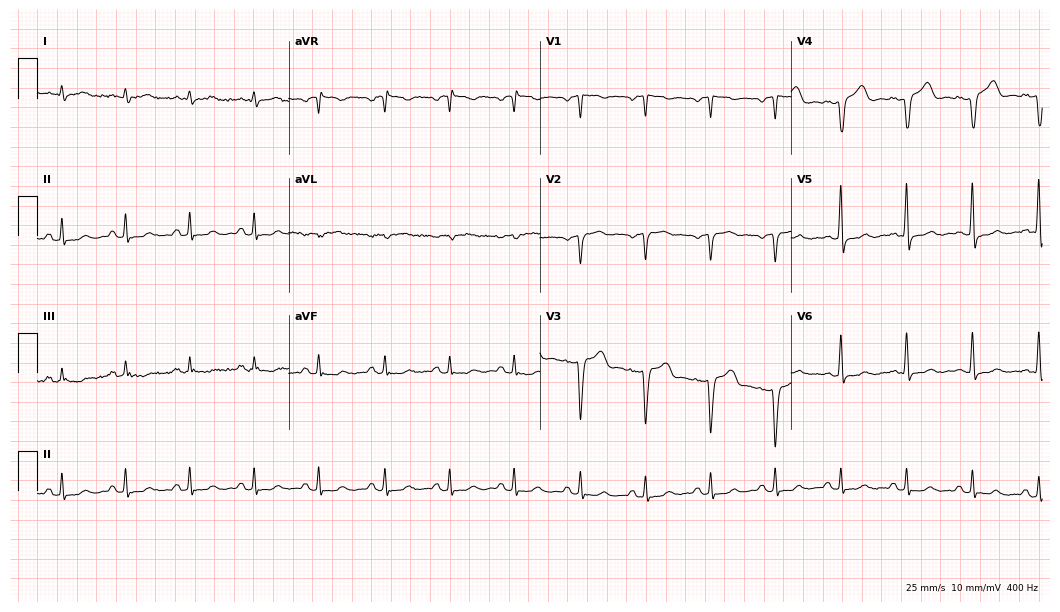
12-lead ECG (10.2-second recording at 400 Hz) from a 56-year-old male. Screened for six findings — first-degree AV block, right bundle branch block, left bundle branch block, sinus bradycardia, atrial fibrillation, sinus tachycardia — none is recorded. Other findings, if any, are not listed.